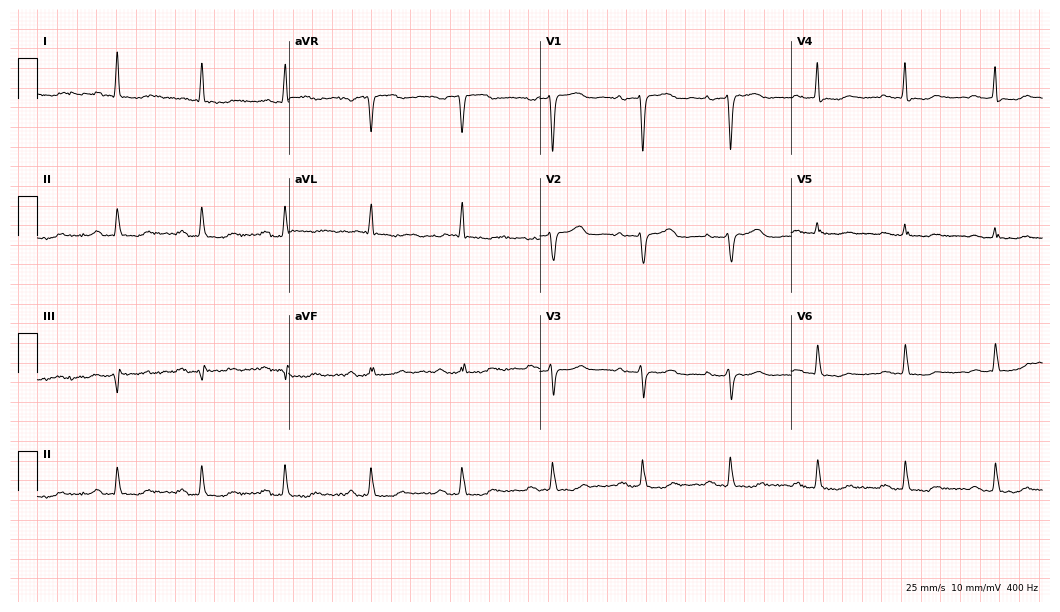
Electrocardiogram, a 63-year-old woman. Interpretation includes first-degree AV block.